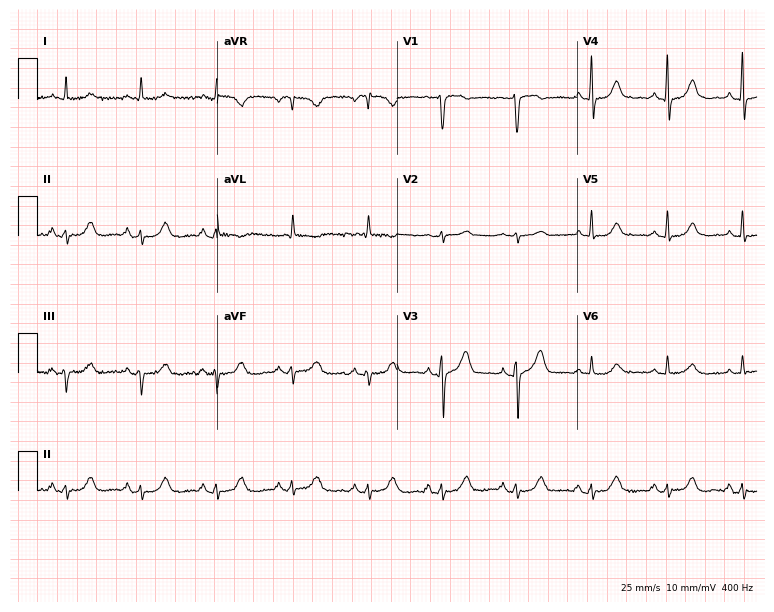
Electrocardiogram (7.3-second recording at 400 Hz), a female, 61 years old. Overall reading on record: normal ECG.